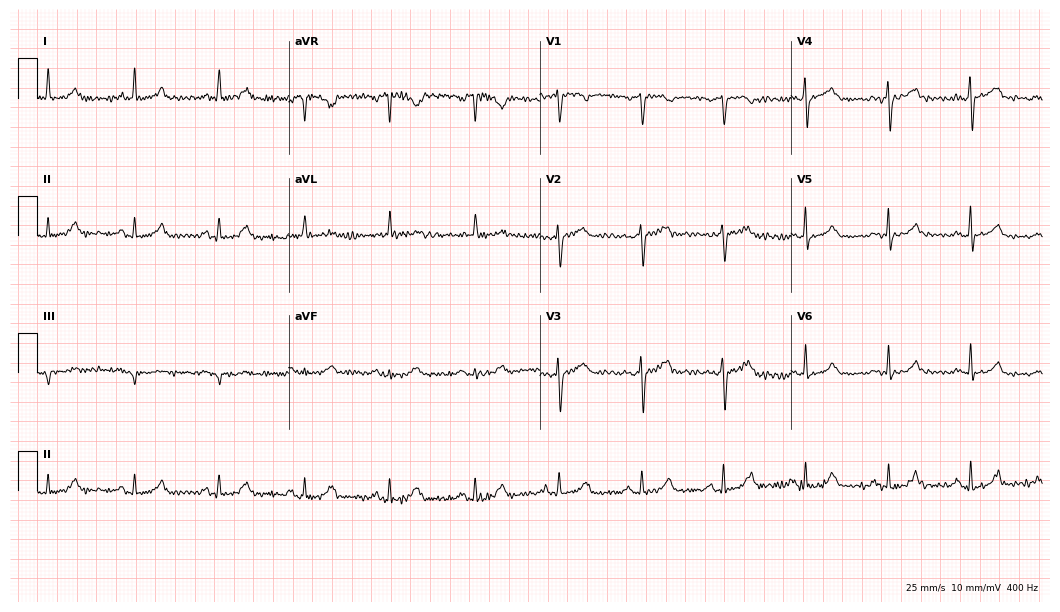
ECG — a 59-year-old female. Labelled as a normal ECG.